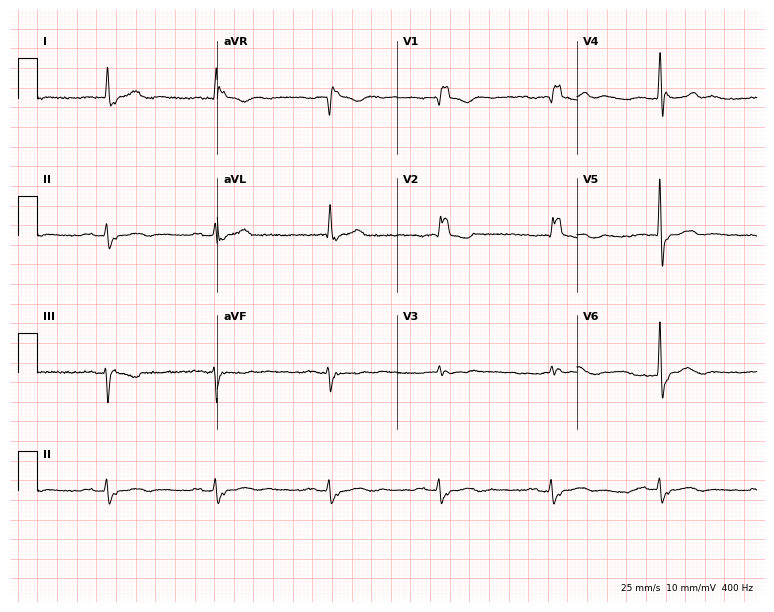
Standard 12-lead ECG recorded from a male, 79 years old (7.3-second recording at 400 Hz). The tracing shows right bundle branch block (RBBB).